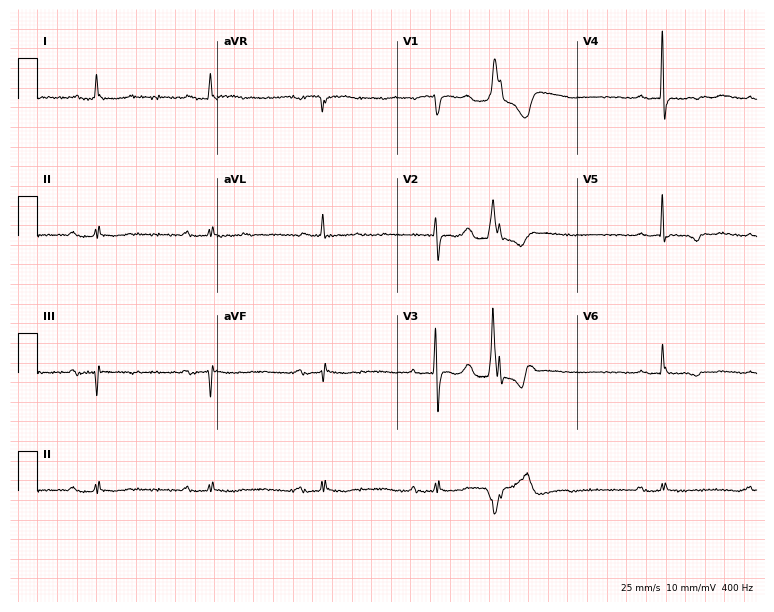
12-lead ECG from an 81-year-old female. Screened for six findings — first-degree AV block, right bundle branch block, left bundle branch block, sinus bradycardia, atrial fibrillation, sinus tachycardia — none is recorded.